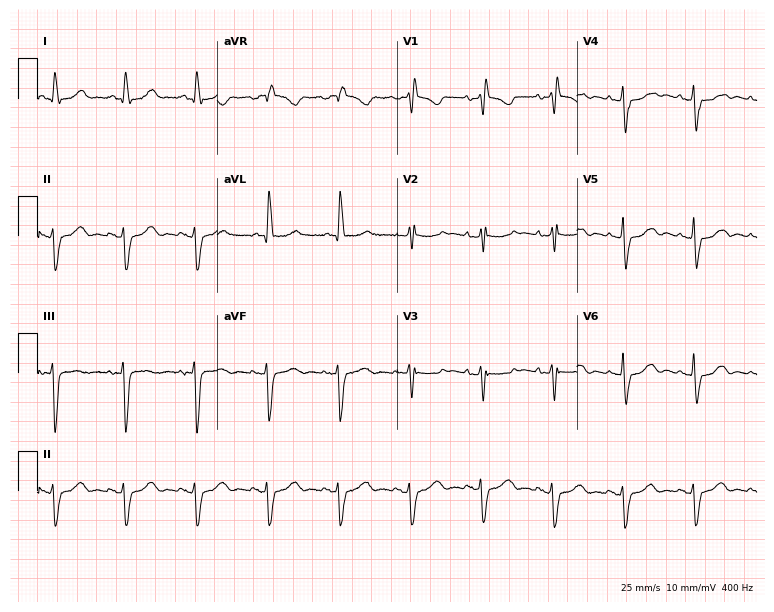
Resting 12-lead electrocardiogram. Patient: a woman, 80 years old. The tracing shows right bundle branch block (RBBB).